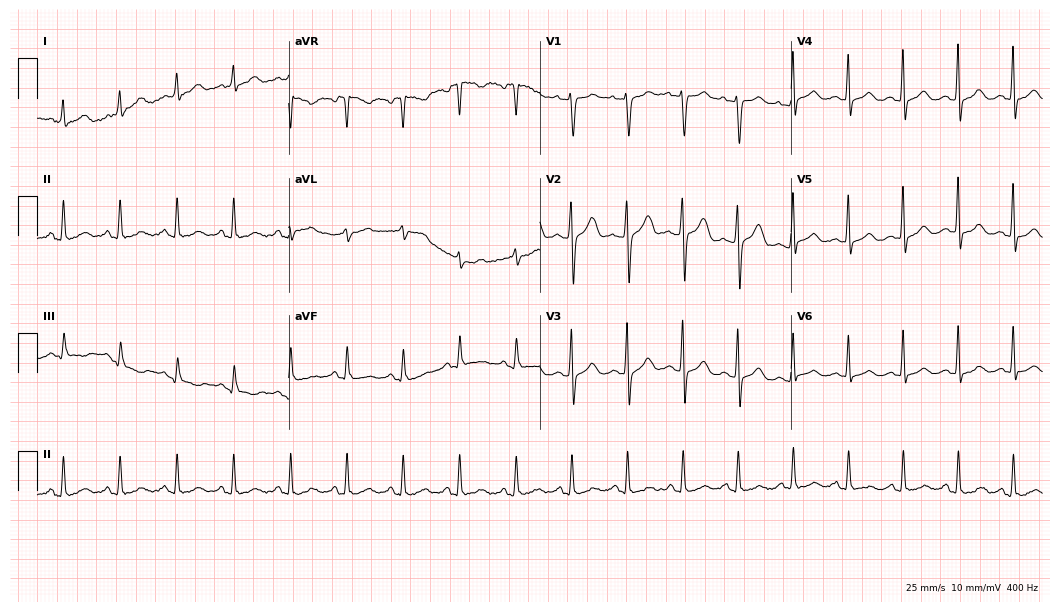
Electrocardiogram, a female, 43 years old. Interpretation includes sinus tachycardia (a sinus rate of 100 beats per minute or more).